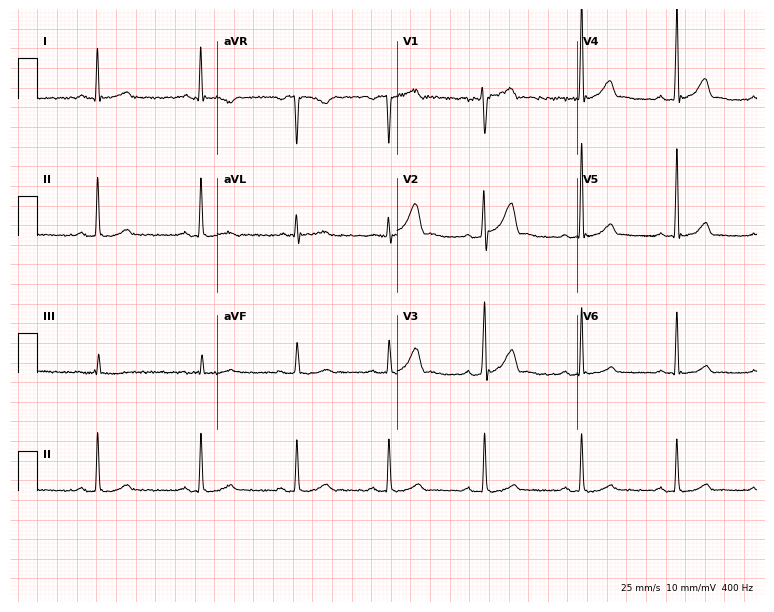
12-lead ECG from a 28-year-old male patient (7.3-second recording at 400 Hz). Recorded interpretation: within normal limits.